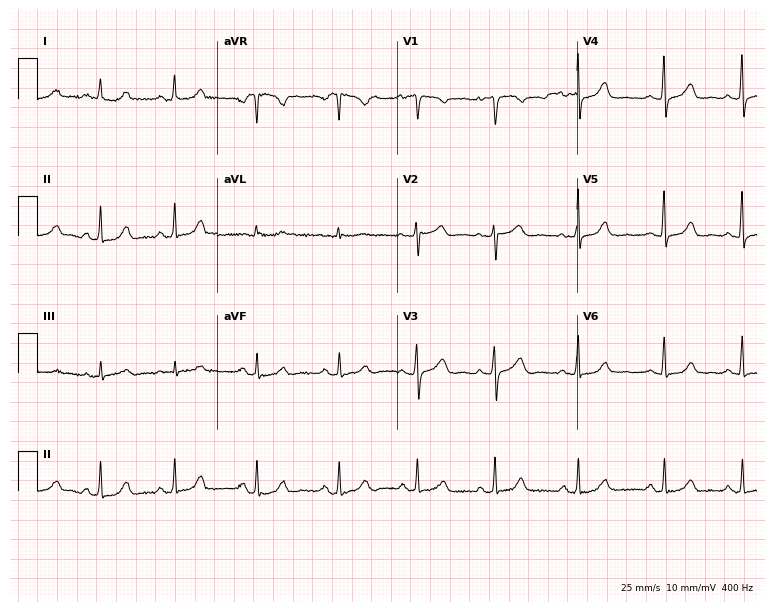
12-lead ECG (7.3-second recording at 400 Hz) from a 38-year-old female patient. Screened for six findings — first-degree AV block, right bundle branch block (RBBB), left bundle branch block (LBBB), sinus bradycardia, atrial fibrillation (AF), sinus tachycardia — none is recorded.